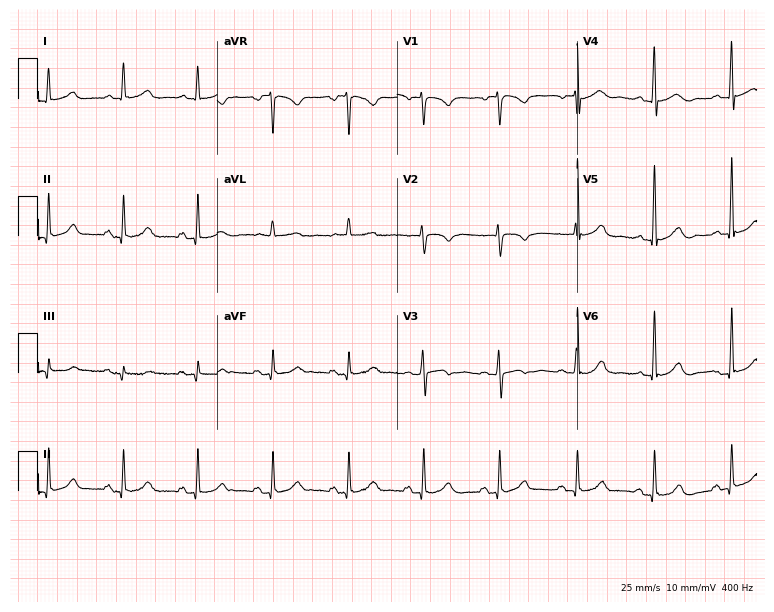
Resting 12-lead electrocardiogram (7.3-second recording at 400 Hz). Patient: a 78-year-old female. None of these six findings is recorded: first-degree AV block, right bundle branch block (RBBB), left bundle branch block (LBBB), sinus bradycardia, atrial fibrillation (AF), sinus tachycardia.